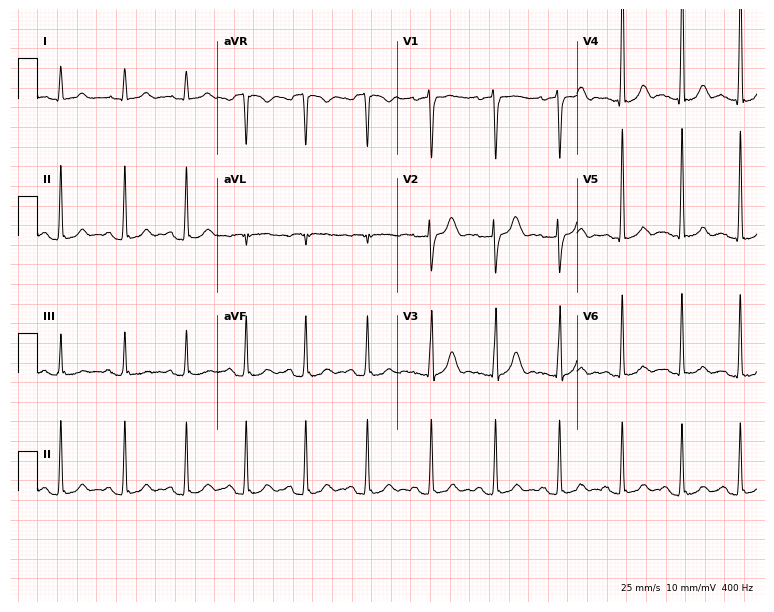
ECG (7.3-second recording at 400 Hz) — a 27-year-old male patient. Labelled as a normal ECG.